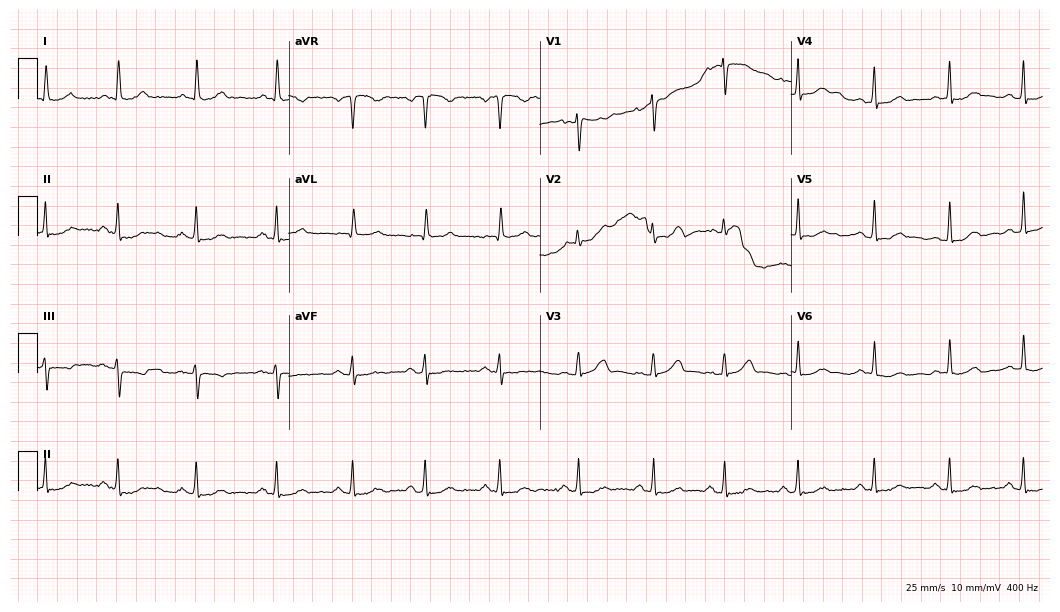
Standard 12-lead ECG recorded from a female, 75 years old (10.2-second recording at 400 Hz). None of these six findings is recorded: first-degree AV block, right bundle branch block (RBBB), left bundle branch block (LBBB), sinus bradycardia, atrial fibrillation (AF), sinus tachycardia. Other findings, if any, are not listed.